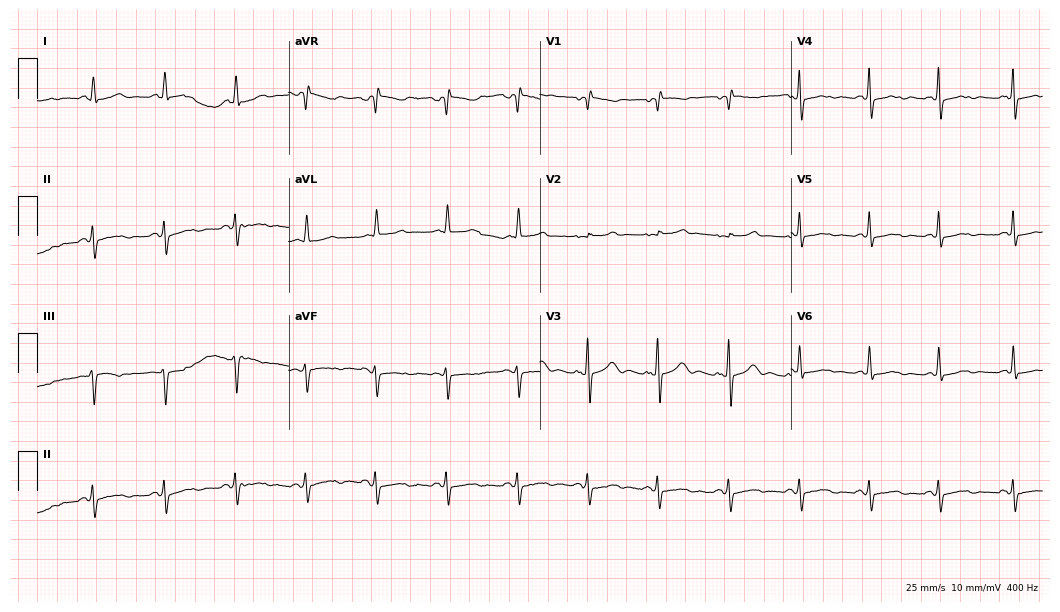
Electrocardiogram (10.2-second recording at 400 Hz), a 78-year-old female patient. Overall reading on record: normal ECG.